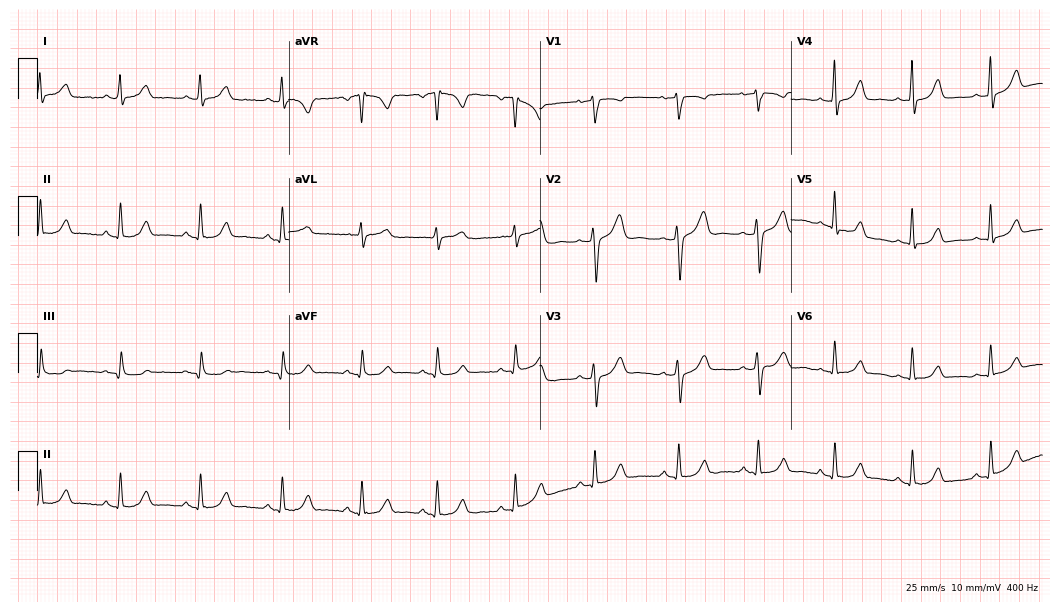
Resting 12-lead electrocardiogram (10.2-second recording at 400 Hz). Patient: a 46-year-old female. Read as a normal ECG.